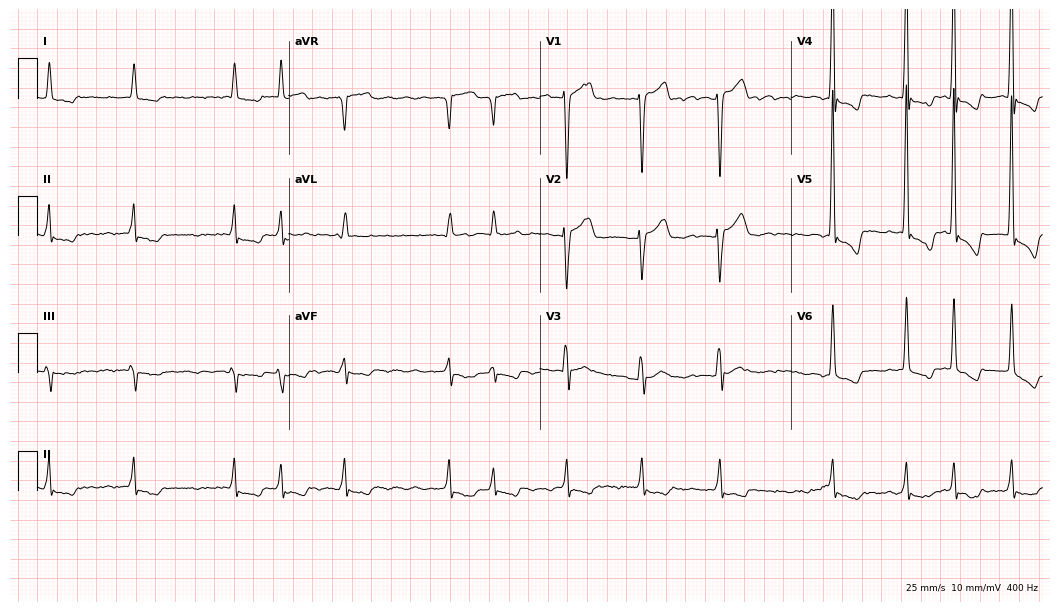
12-lead ECG from a male patient, 66 years old (10.2-second recording at 400 Hz). Shows atrial fibrillation (AF).